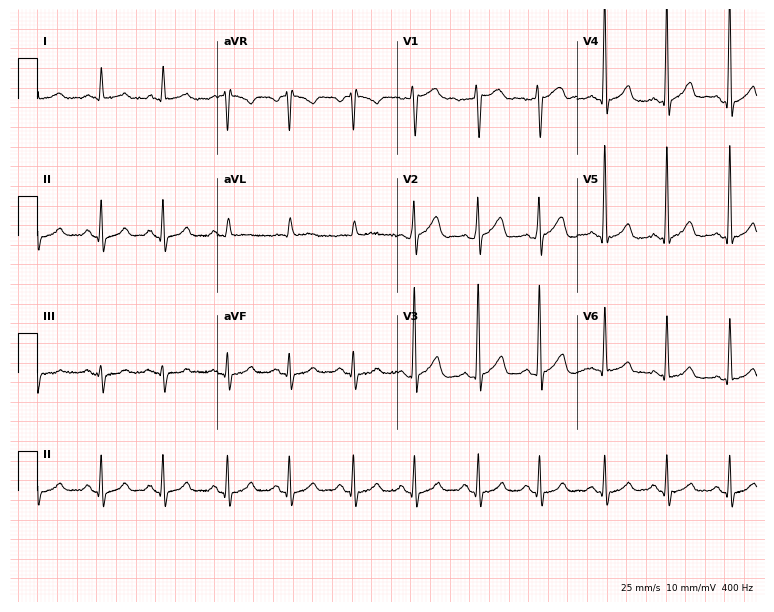
12-lead ECG from a male patient, 68 years old. Recorded interpretation: within normal limits.